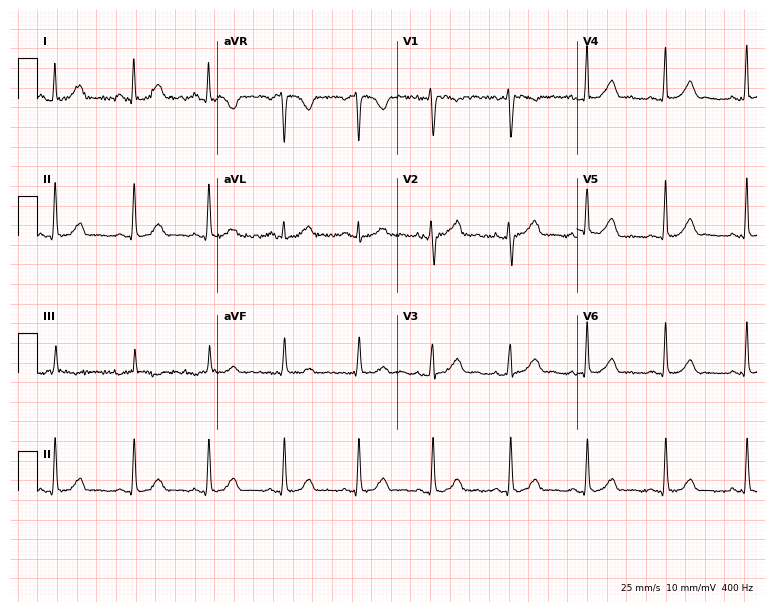
12-lead ECG from a 31-year-old female patient. Recorded interpretation: within normal limits.